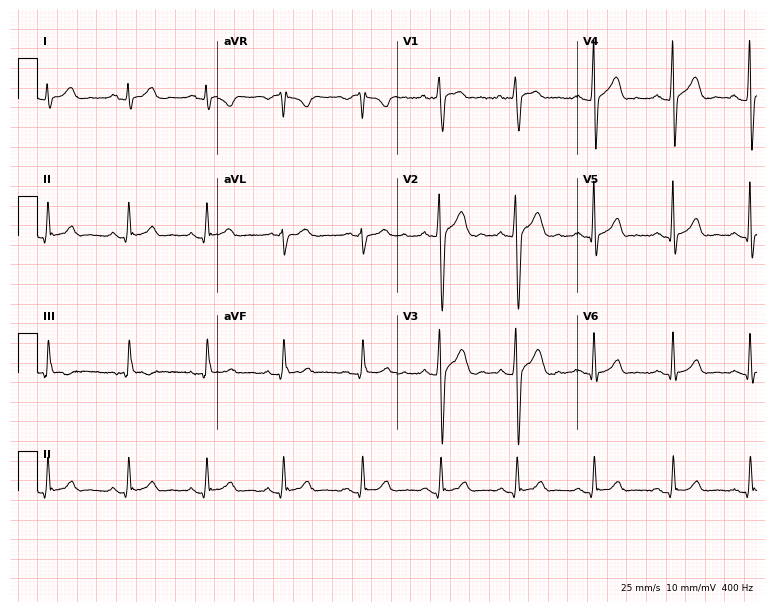
Electrocardiogram (7.3-second recording at 400 Hz), a 25-year-old male. Overall reading on record: normal ECG.